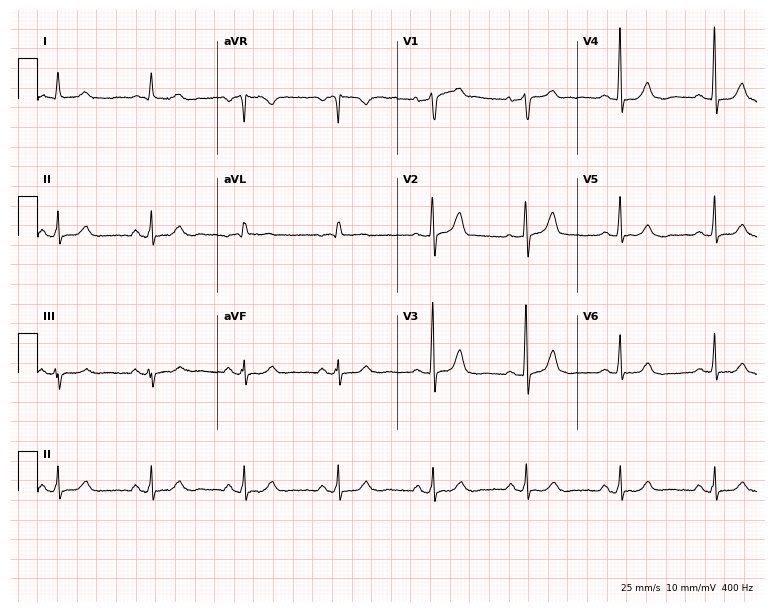
ECG (7.3-second recording at 400 Hz) — an 85-year-old man. Labelled as a normal ECG.